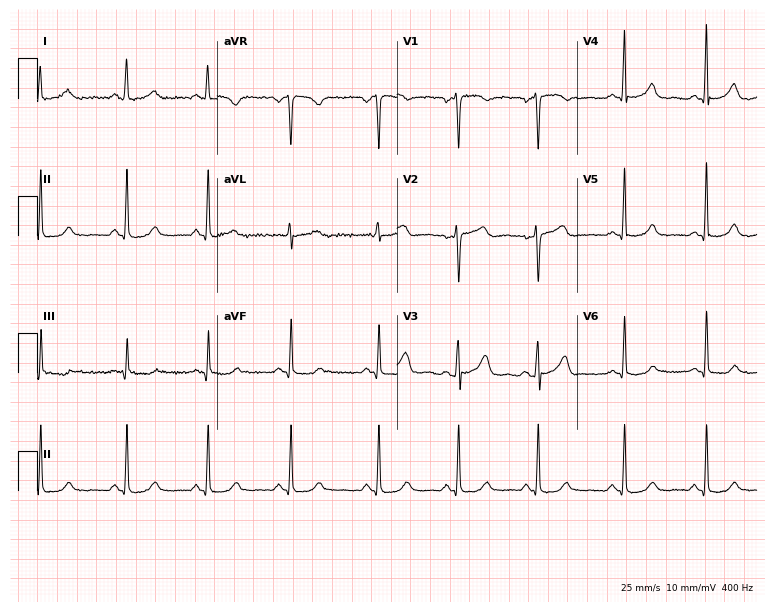
Standard 12-lead ECG recorded from a 35-year-old female patient. Read as a normal ECG.